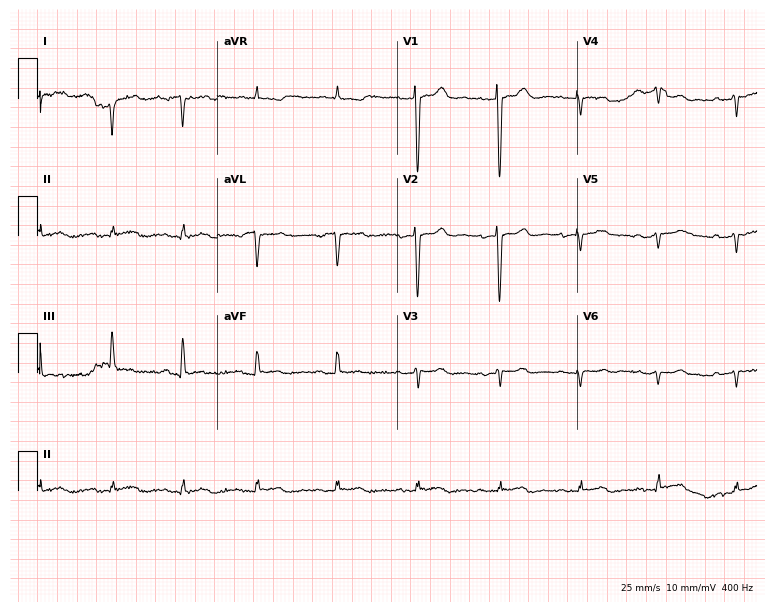
ECG — a male patient, 38 years old. Screened for six findings — first-degree AV block, right bundle branch block, left bundle branch block, sinus bradycardia, atrial fibrillation, sinus tachycardia — none is recorded.